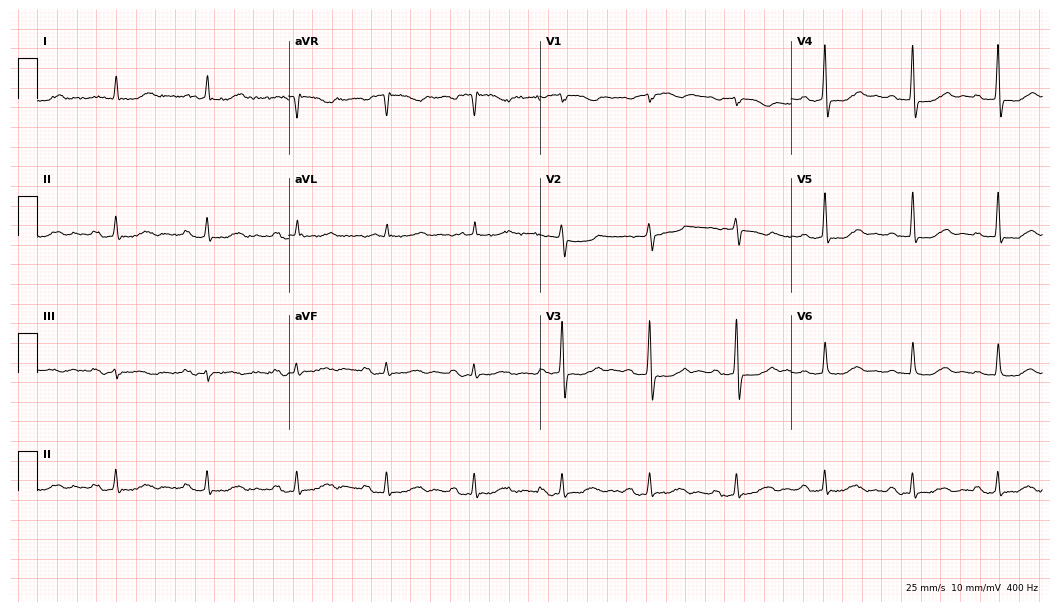
Standard 12-lead ECG recorded from a 67-year-old female (10.2-second recording at 400 Hz). The tracing shows first-degree AV block.